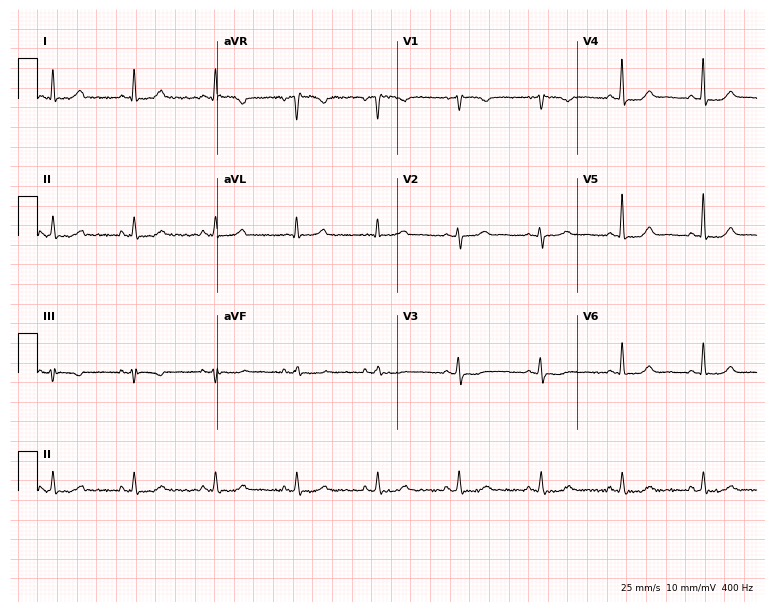
Resting 12-lead electrocardiogram. Patient: a 59-year-old woman. Read as a normal ECG.